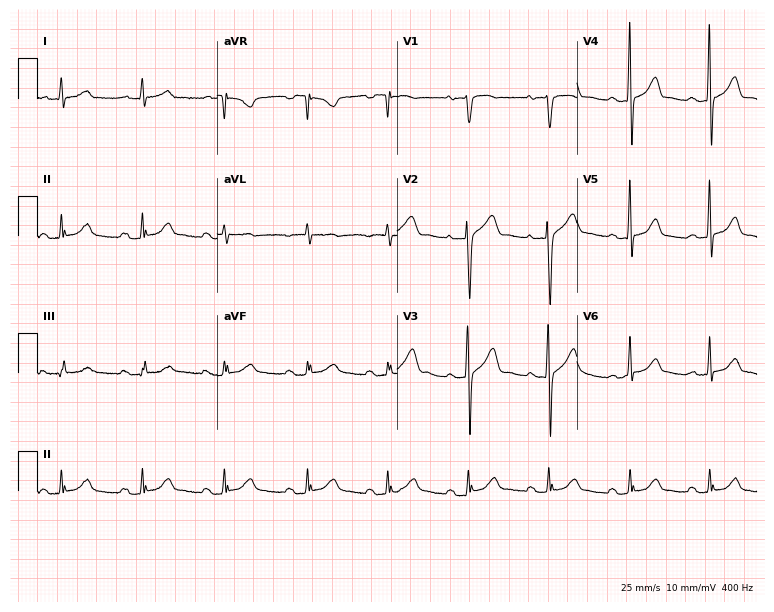
ECG — a 66-year-old man. Labelled as a normal ECG.